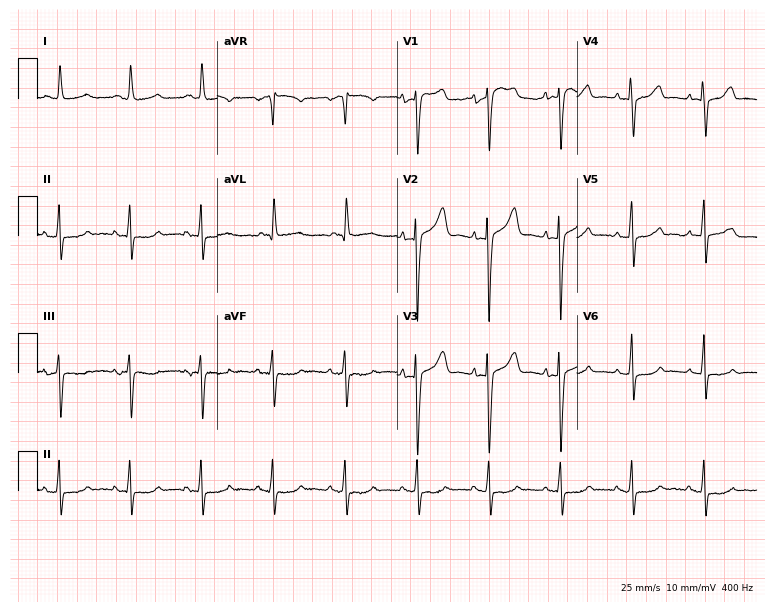
Resting 12-lead electrocardiogram. Patient: a female, 83 years old. None of these six findings is recorded: first-degree AV block, right bundle branch block, left bundle branch block, sinus bradycardia, atrial fibrillation, sinus tachycardia.